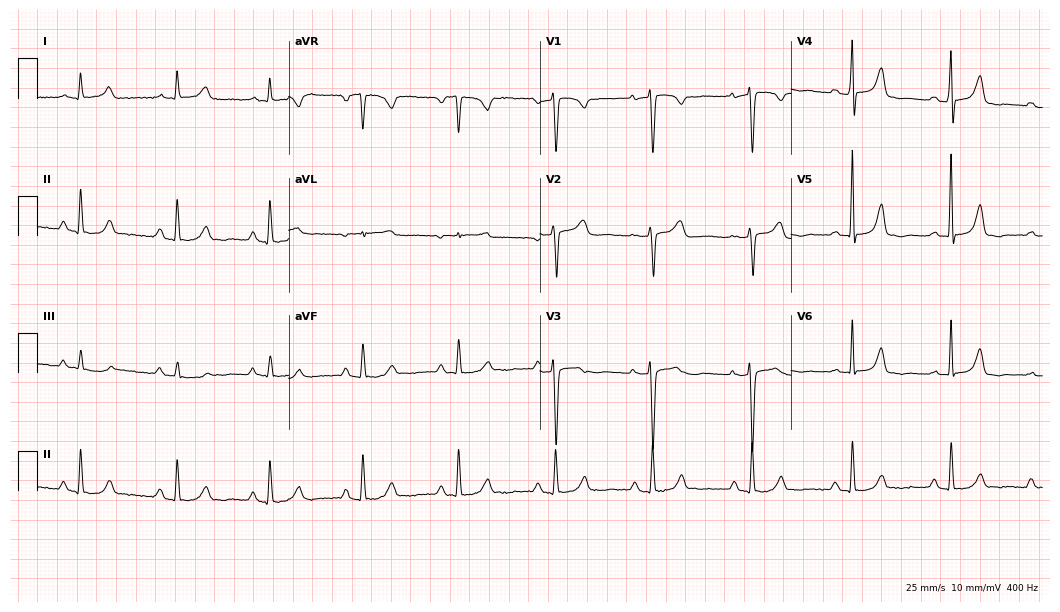
Standard 12-lead ECG recorded from a 53-year-old female (10.2-second recording at 400 Hz). Read as a normal ECG.